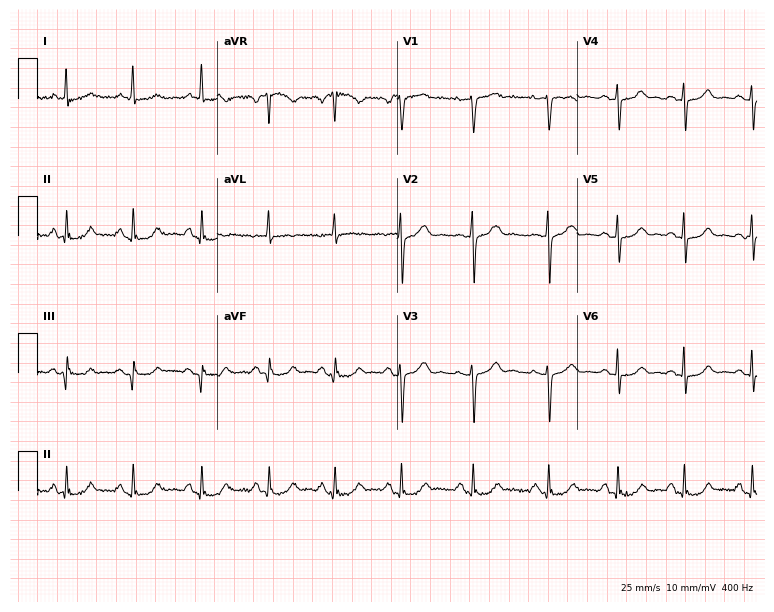
Standard 12-lead ECG recorded from a 56-year-old woman. None of these six findings is recorded: first-degree AV block, right bundle branch block (RBBB), left bundle branch block (LBBB), sinus bradycardia, atrial fibrillation (AF), sinus tachycardia.